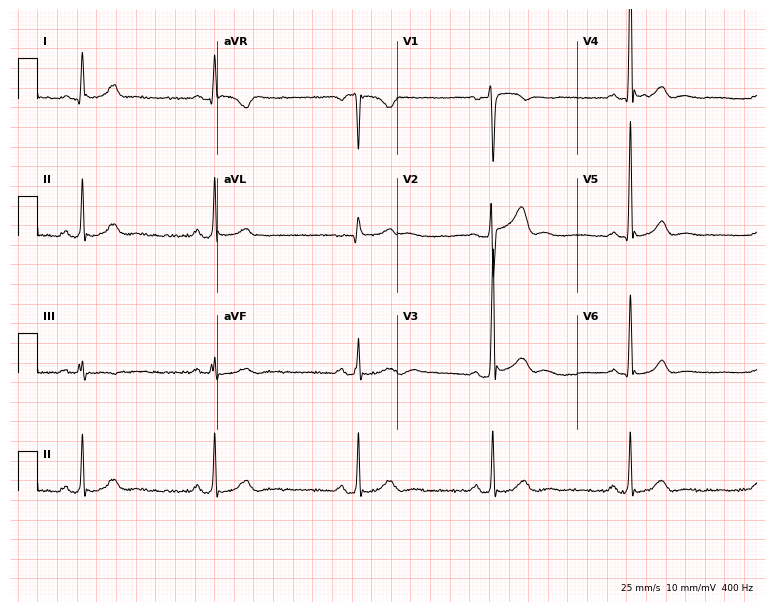
12-lead ECG from a male, 39 years old (7.3-second recording at 400 Hz). No first-degree AV block, right bundle branch block, left bundle branch block, sinus bradycardia, atrial fibrillation or sinus tachycardia recorded for this tracing.